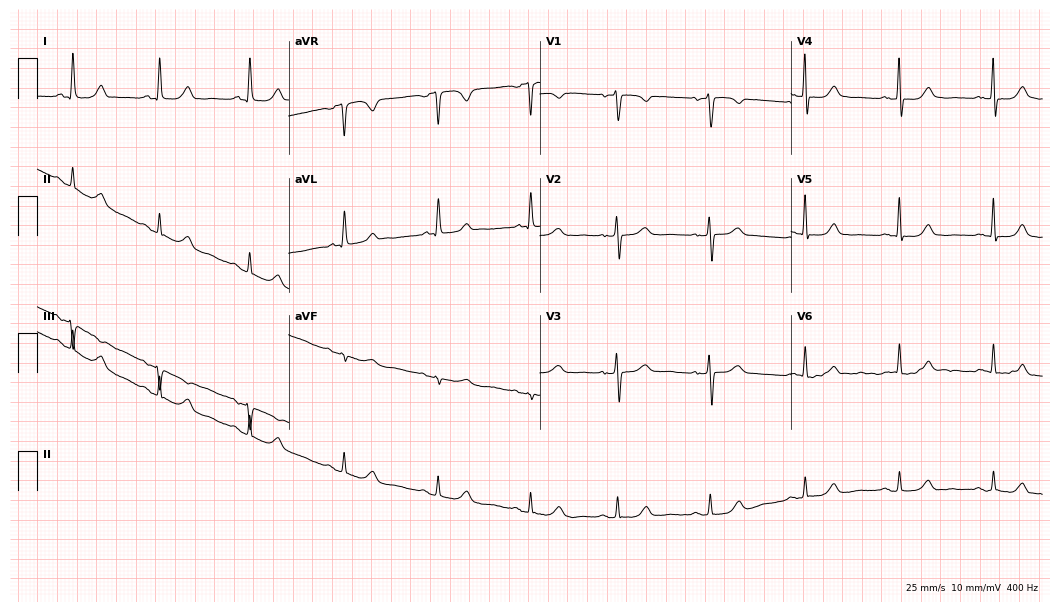
Standard 12-lead ECG recorded from a female patient, 70 years old (10.2-second recording at 400 Hz). None of these six findings is recorded: first-degree AV block, right bundle branch block, left bundle branch block, sinus bradycardia, atrial fibrillation, sinus tachycardia. Other findings, if any, are not listed.